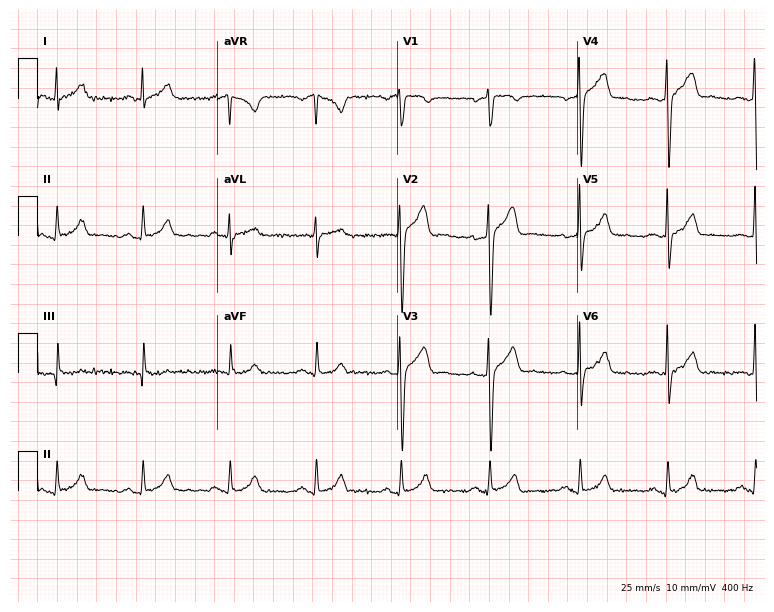
Resting 12-lead electrocardiogram. Patient: a 42-year-old man. Read as a normal ECG.